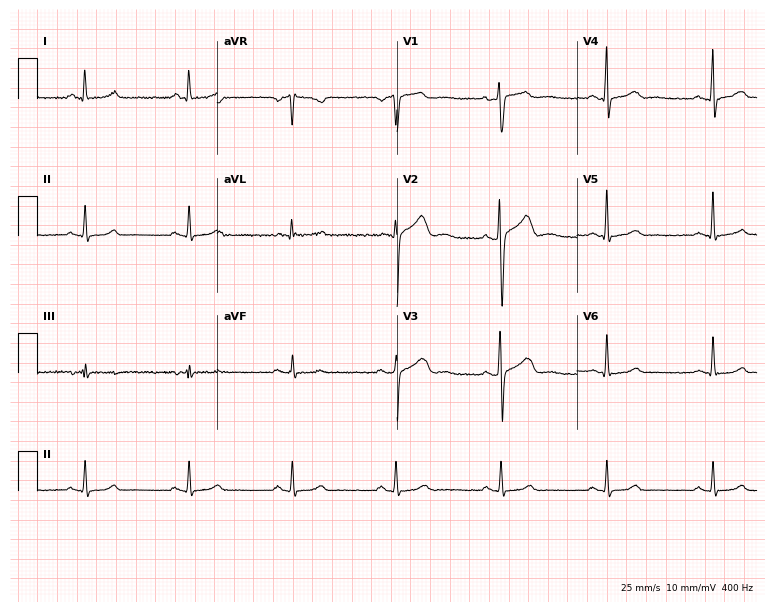
Standard 12-lead ECG recorded from a male, 46 years old. Read as a normal ECG.